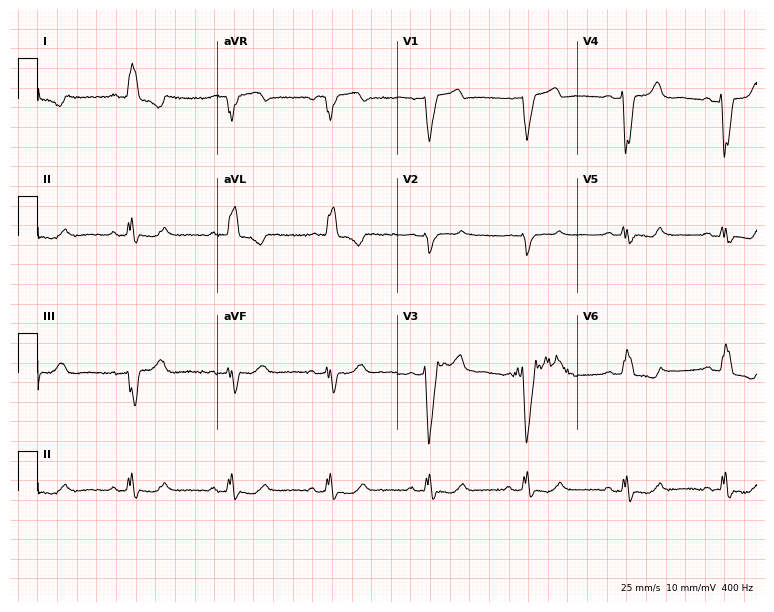
12-lead ECG from a 76-year-old female. Shows left bundle branch block.